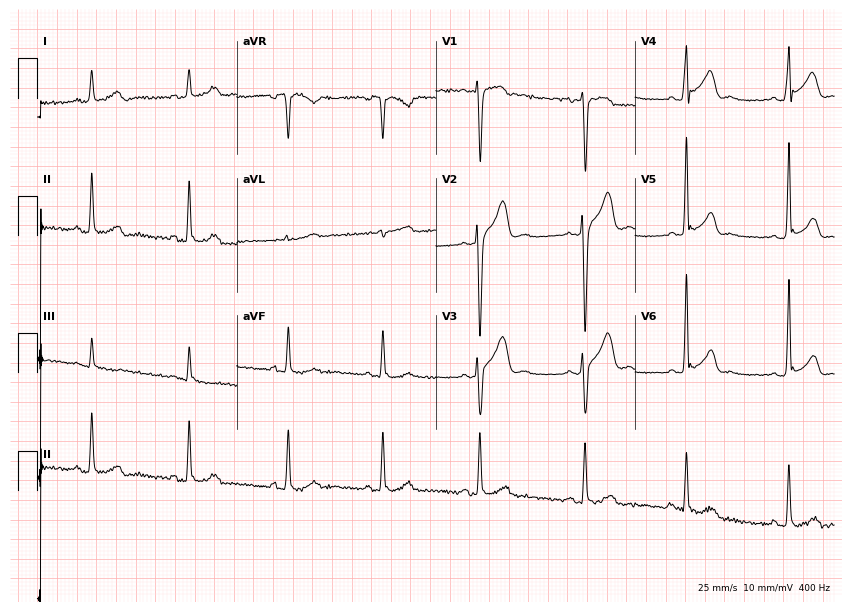
12-lead ECG from a male, 22 years old (8.1-second recording at 400 Hz). No first-degree AV block, right bundle branch block, left bundle branch block, sinus bradycardia, atrial fibrillation or sinus tachycardia recorded for this tracing. Findings outside these six are not listed.